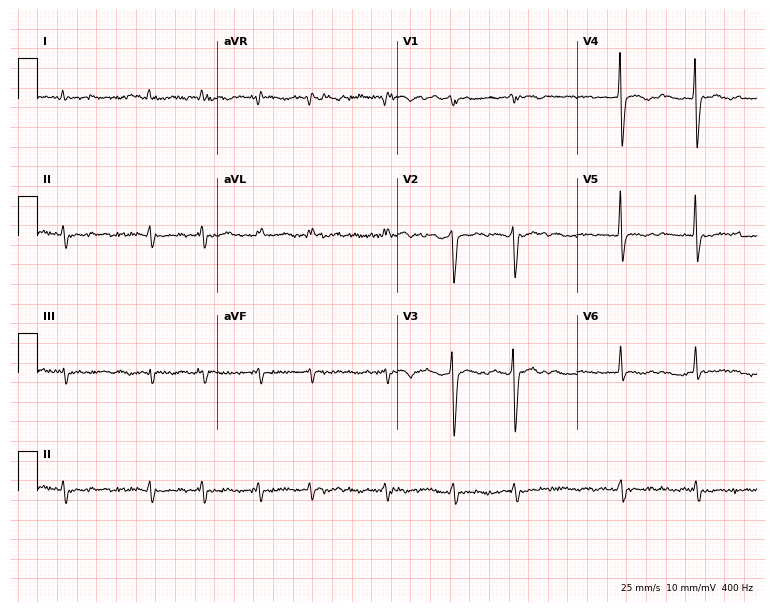
Resting 12-lead electrocardiogram. Patient: a male, 88 years old. None of these six findings is recorded: first-degree AV block, right bundle branch block, left bundle branch block, sinus bradycardia, atrial fibrillation, sinus tachycardia.